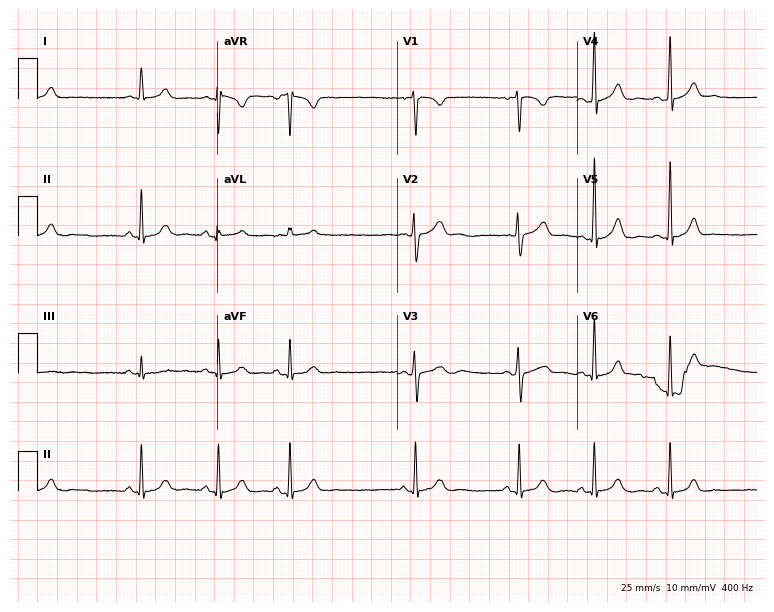
Electrocardiogram, a 20-year-old female. Of the six screened findings (first-degree AV block, right bundle branch block, left bundle branch block, sinus bradycardia, atrial fibrillation, sinus tachycardia), none is recorded.